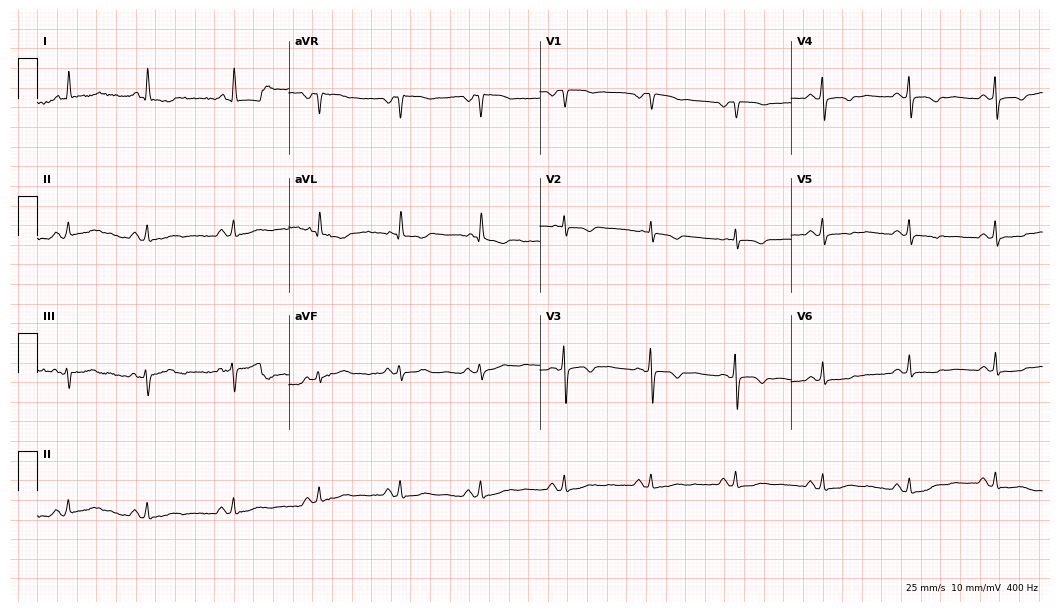
Electrocardiogram, a female, 73 years old. Of the six screened findings (first-degree AV block, right bundle branch block, left bundle branch block, sinus bradycardia, atrial fibrillation, sinus tachycardia), none is recorded. Only these six findings were labelled.